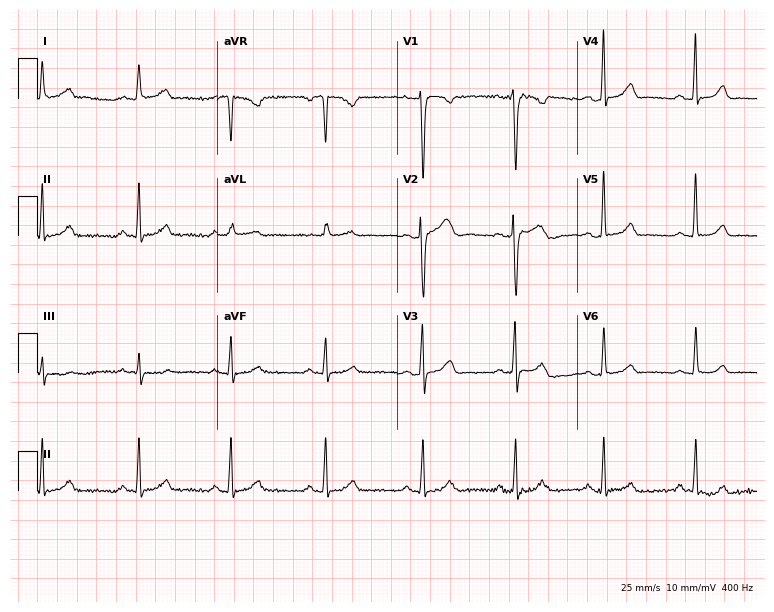
ECG — a 36-year-old female patient. Screened for six findings — first-degree AV block, right bundle branch block, left bundle branch block, sinus bradycardia, atrial fibrillation, sinus tachycardia — none is recorded. Only these six findings were labelled.